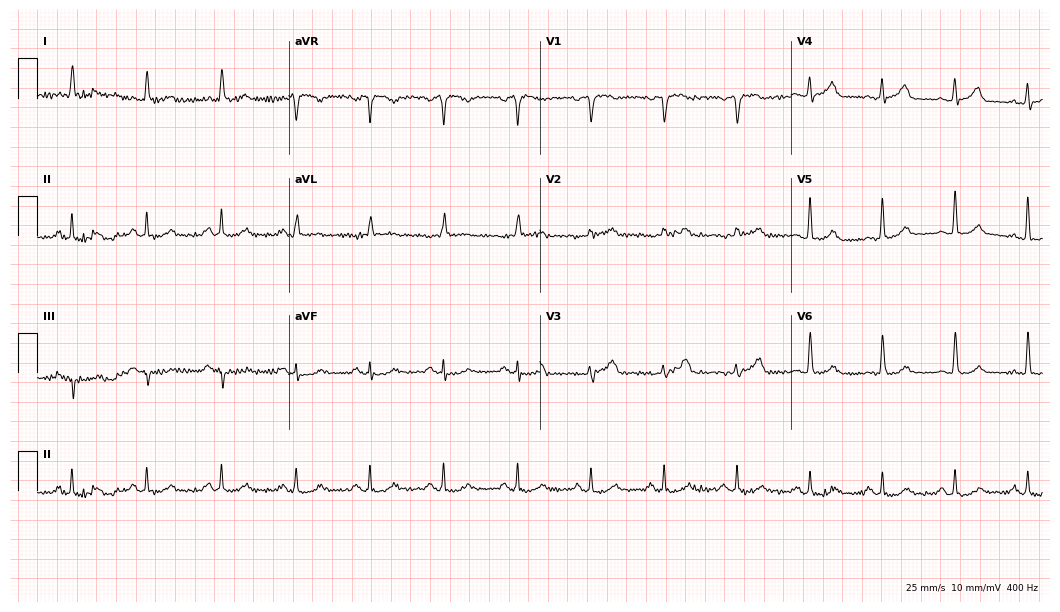
Electrocardiogram, a female patient, 72 years old. Overall reading on record: normal ECG.